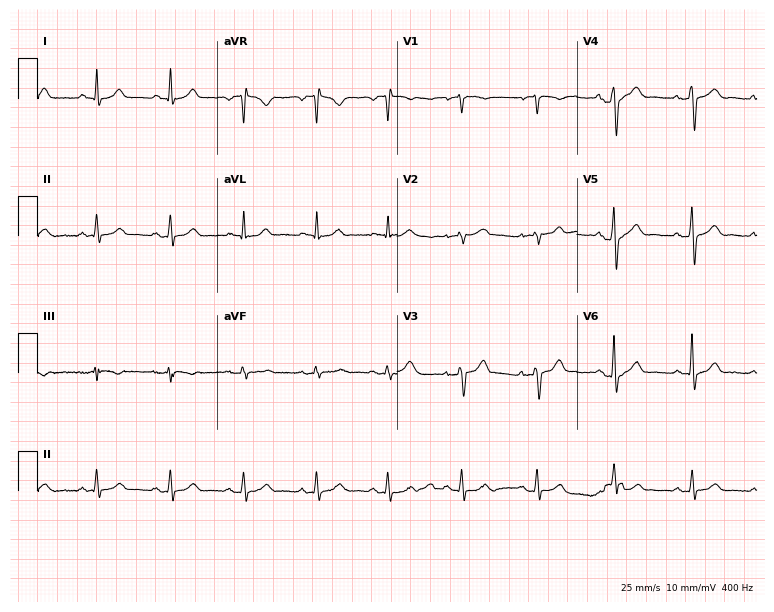
Resting 12-lead electrocardiogram. Patient: a man, 43 years old. Read as a normal ECG.